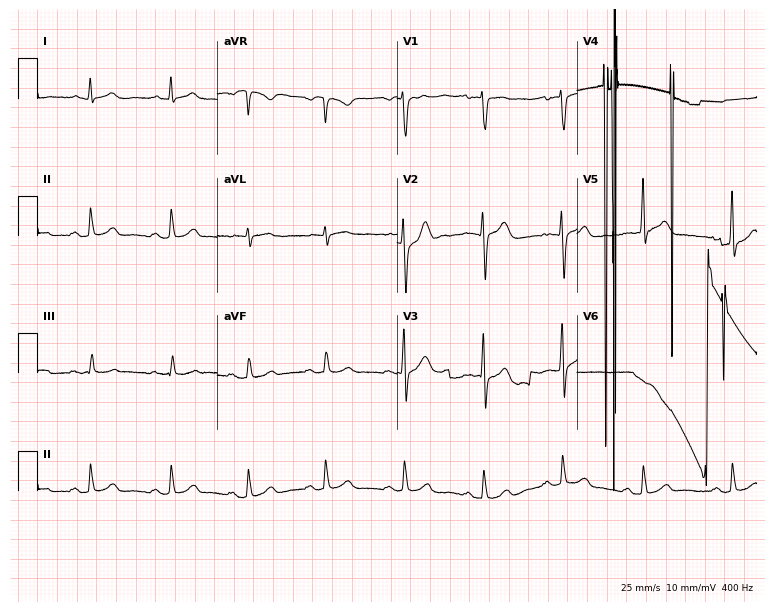
Standard 12-lead ECG recorded from a 41-year-old man. None of these six findings is recorded: first-degree AV block, right bundle branch block (RBBB), left bundle branch block (LBBB), sinus bradycardia, atrial fibrillation (AF), sinus tachycardia. Only these six findings were labelled.